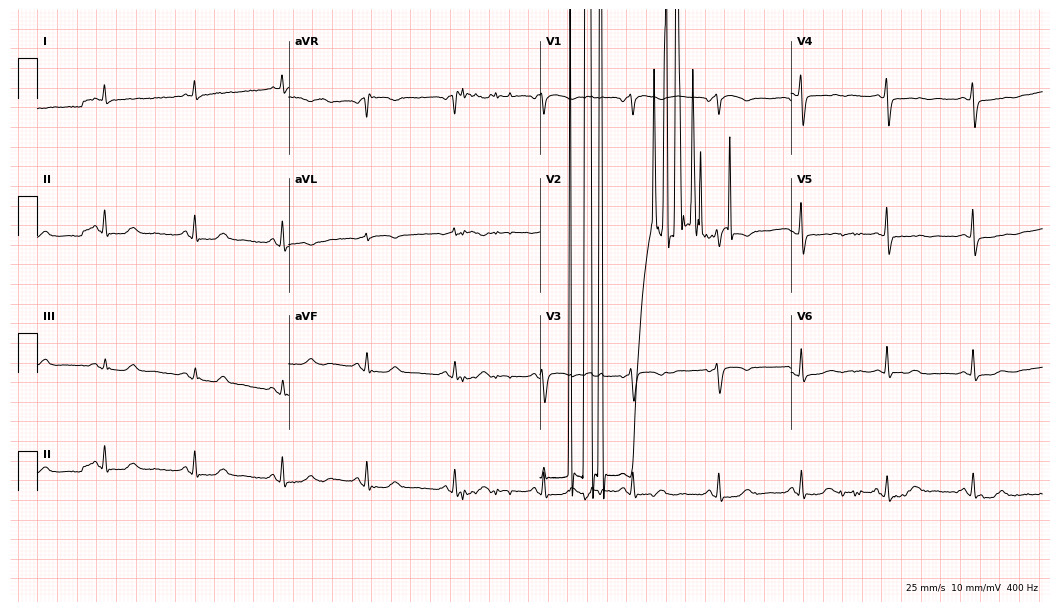
12-lead ECG from a female, 52 years old (10.2-second recording at 400 Hz). No first-degree AV block, right bundle branch block, left bundle branch block, sinus bradycardia, atrial fibrillation or sinus tachycardia recorded for this tracing.